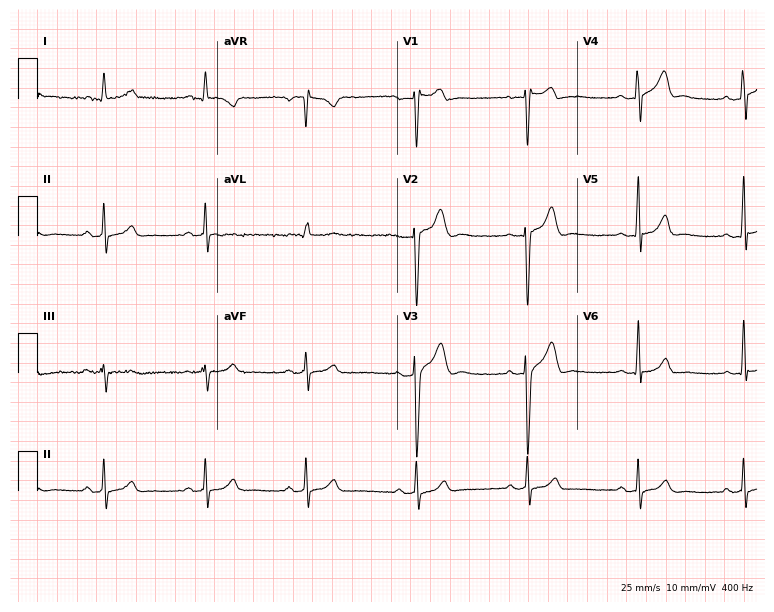
12-lead ECG (7.3-second recording at 400 Hz) from a male patient, 30 years old. Screened for six findings — first-degree AV block, right bundle branch block, left bundle branch block, sinus bradycardia, atrial fibrillation, sinus tachycardia — none is recorded.